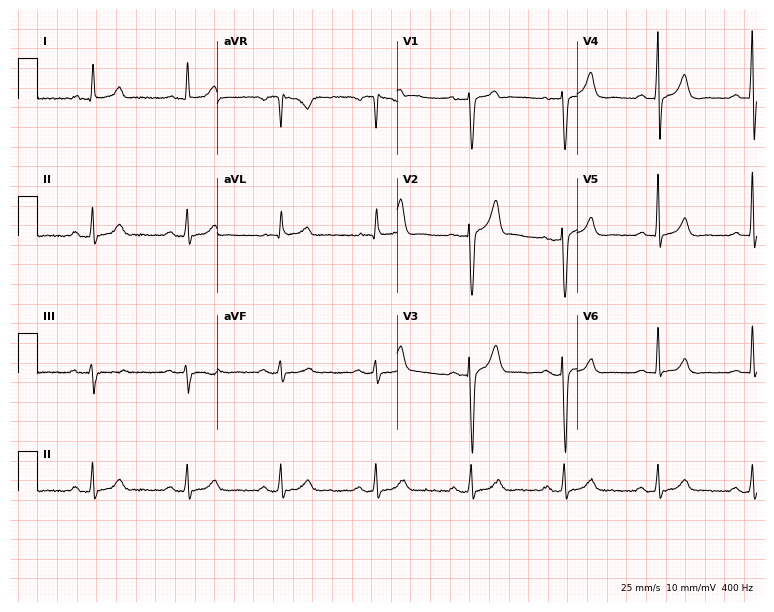
Standard 12-lead ECG recorded from a male, 59 years old. Read as a normal ECG.